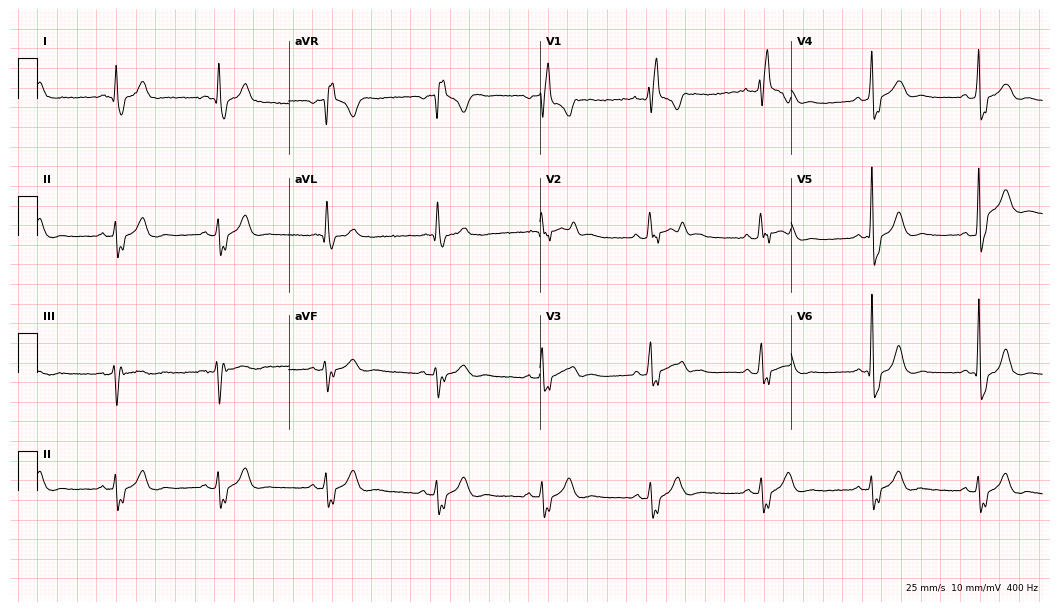
Resting 12-lead electrocardiogram (10.2-second recording at 400 Hz). Patient: a female, 41 years old. None of these six findings is recorded: first-degree AV block, right bundle branch block, left bundle branch block, sinus bradycardia, atrial fibrillation, sinus tachycardia.